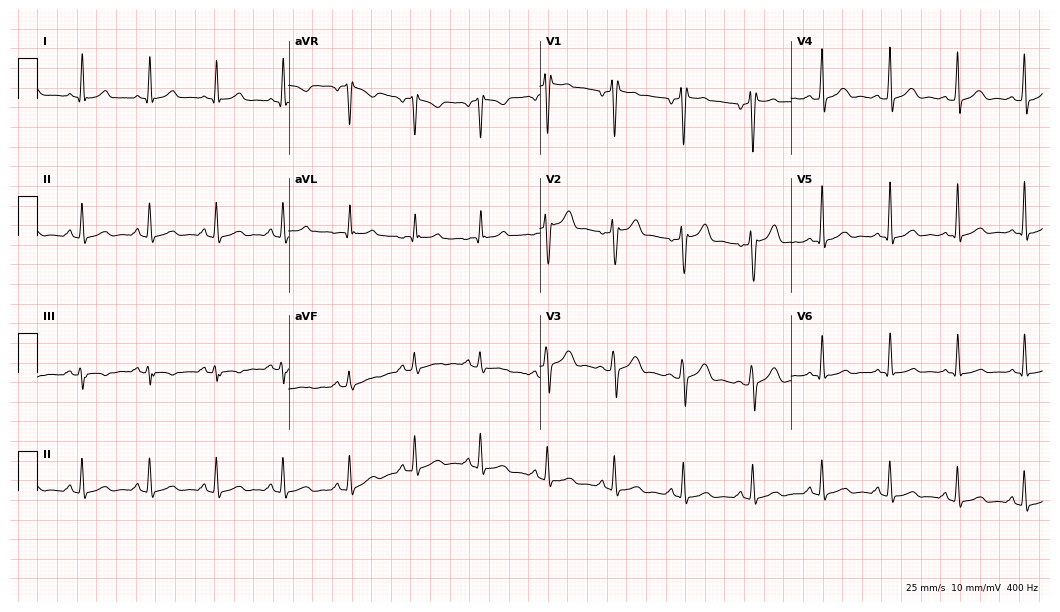
Resting 12-lead electrocardiogram. Patient: a man, 33 years old. None of these six findings is recorded: first-degree AV block, right bundle branch block (RBBB), left bundle branch block (LBBB), sinus bradycardia, atrial fibrillation (AF), sinus tachycardia.